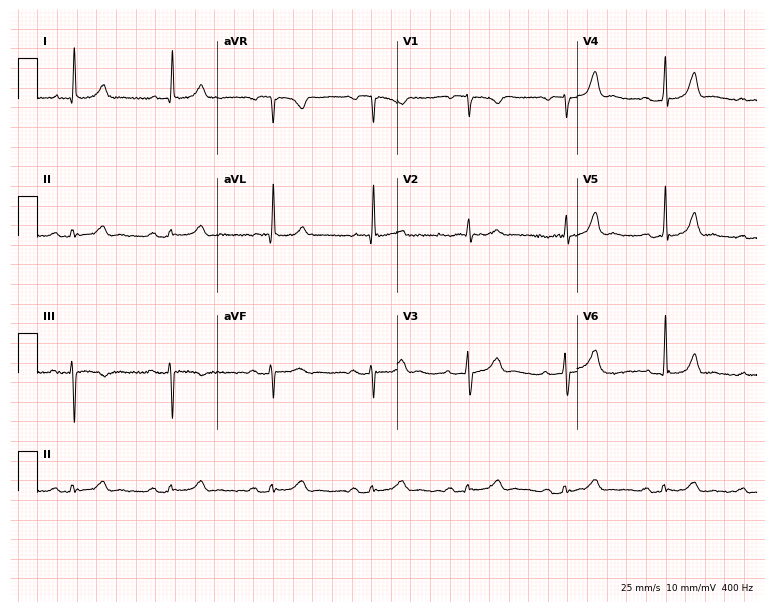
ECG — a male, 78 years old. Labelled as a normal ECG.